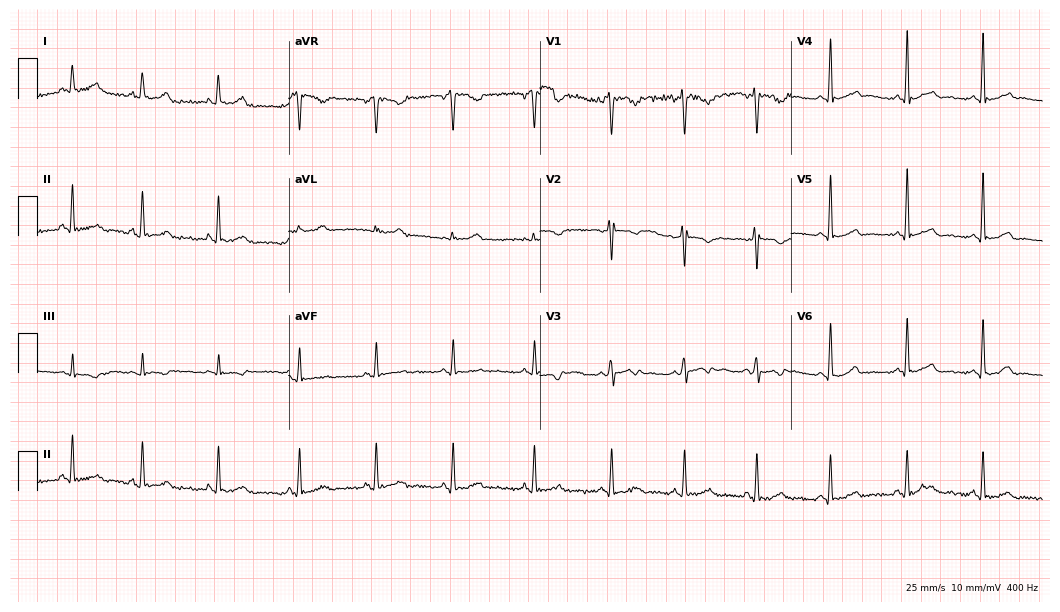
ECG (10.2-second recording at 400 Hz) — a 26-year-old female patient. Screened for six findings — first-degree AV block, right bundle branch block (RBBB), left bundle branch block (LBBB), sinus bradycardia, atrial fibrillation (AF), sinus tachycardia — none is recorded.